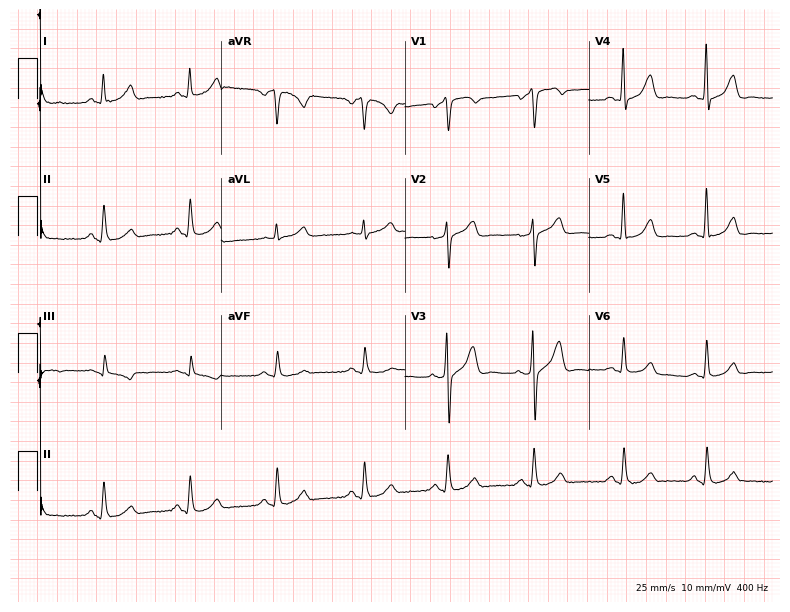
Electrocardiogram (7.5-second recording at 400 Hz), a 55-year-old man. Of the six screened findings (first-degree AV block, right bundle branch block (RBBB), left bundle branch block (LBBB), sinus bradycardia, atrial fibrillation (AF), sinus tachycardia), none is recorded.